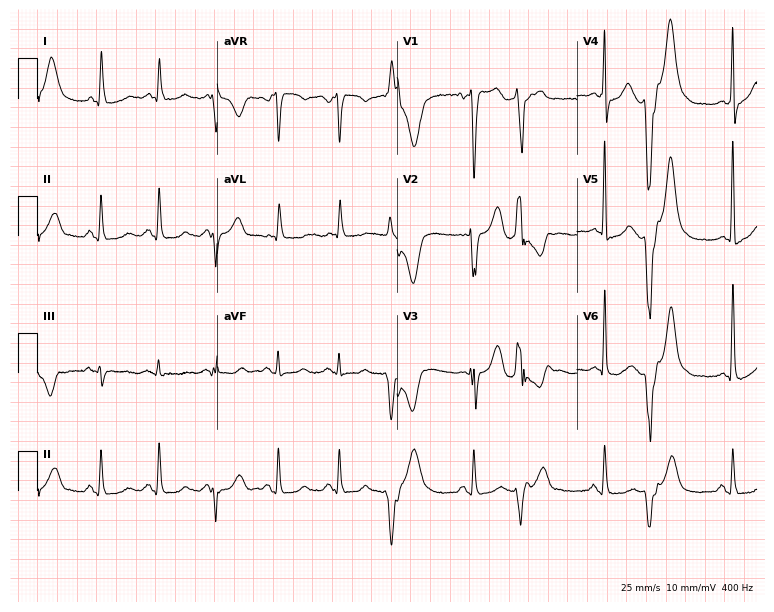
12-lead ECG (7.3-second recording at 400 Hz) from a woman, 58 years old. Screened for six findings — first-degree AV block, right bundle branch block (RBBB), left bundle branch block (LBBB), sinus bradycardia, atrial fibrillation (AF), sinus tachycardia — none is recorded. Other findings, if any, are not listed.